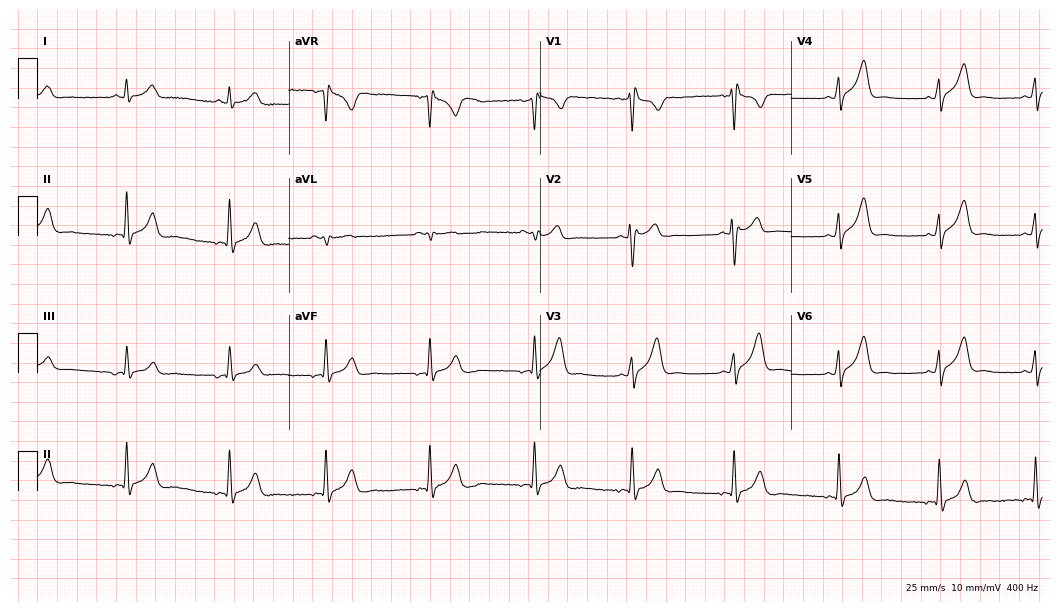
12-lead ECG (10.2-second recording at 400 Hz) from a male patient, 37 years old. Findings include right bundle branch block.